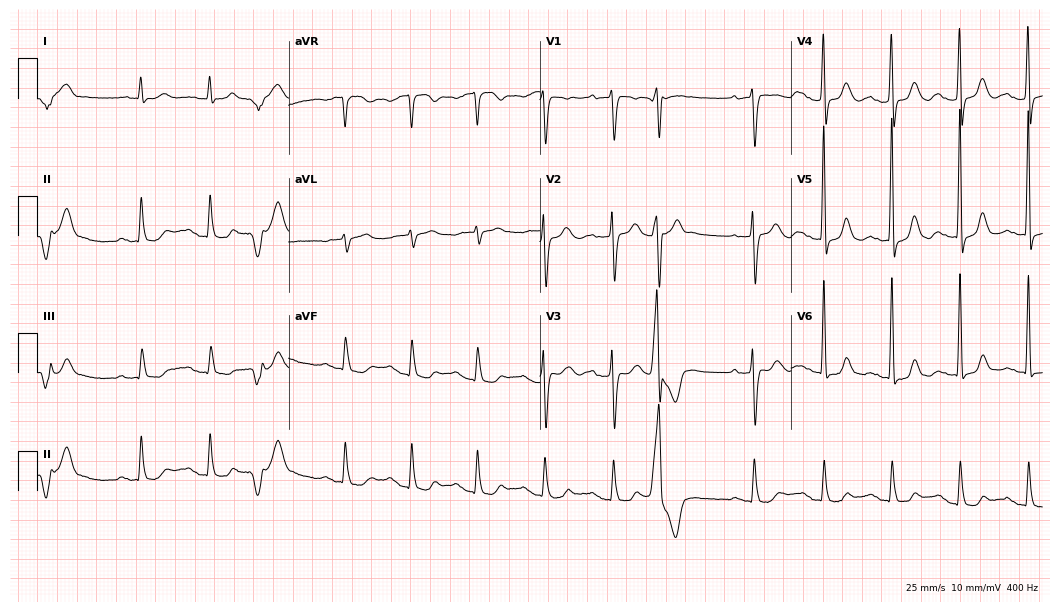
Electrocardiogram, a male patient, 74 years old. Interpretation includes first-degree AV block.